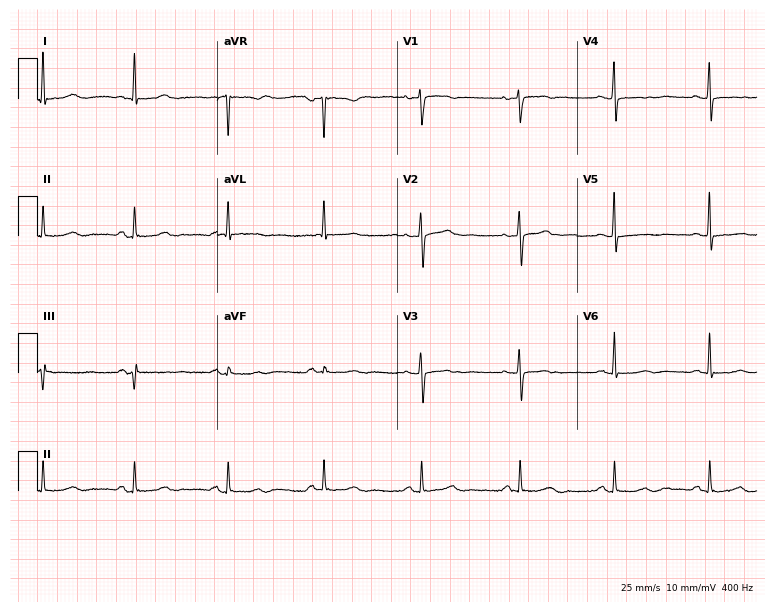
12-lead ECG from a 55-year-old female patient (7.3-second recording at 400 Hz). No first-degree AV block, right bundle branch block (RBBB), left bundle branch block (LBBB), sinus bradycardia, atrial fibrillation (AF) or sinus tachycardia recorded for this tracing. Only these six findings were labelled.